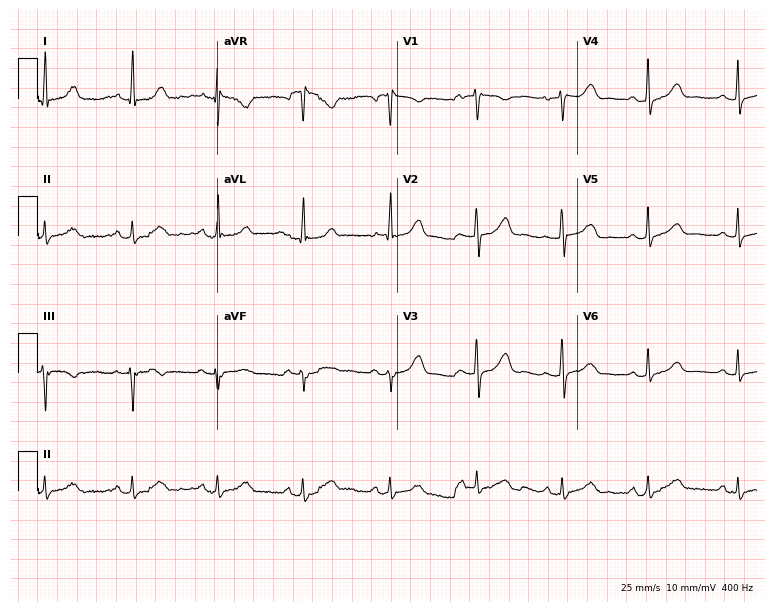
12-lead ECG from a female patient, 55 years old. Labelled as a normal ECG.